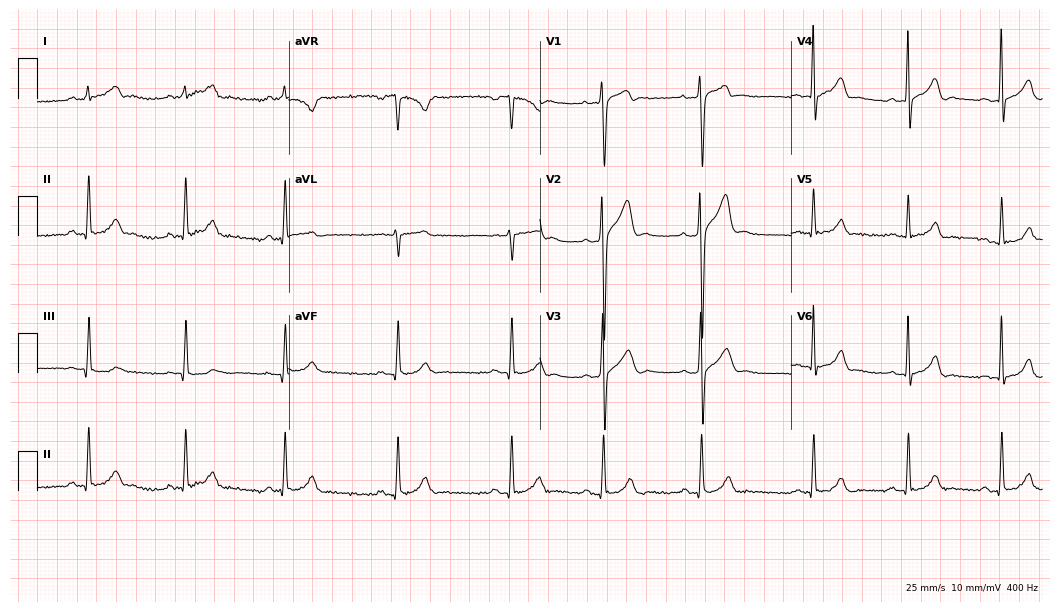
Resting 12-lead electrocardiogram (10.2-second recording at 400 Hz). Patient: a male, 27 years old. Read as a normal ECG.